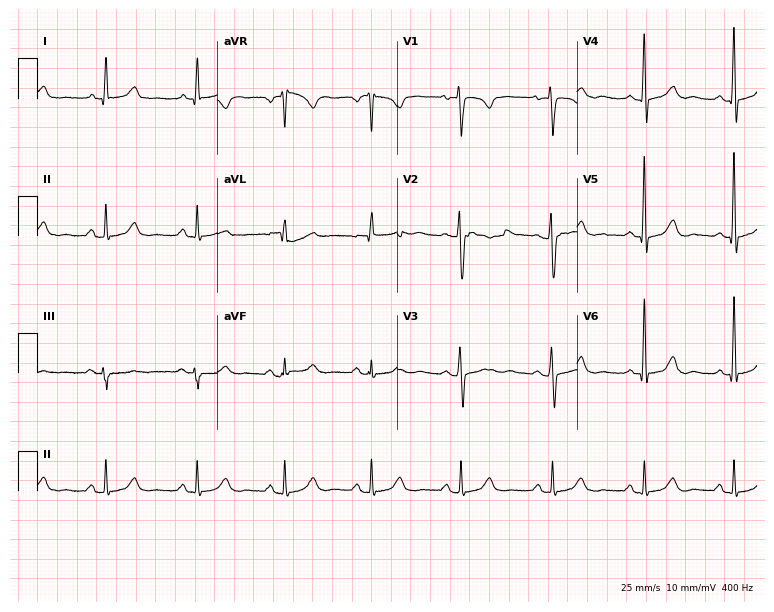
12-lead ECG (7.3-second recording at 400 Hz) from a female, 52 years old. Labelled as a normal ECG.